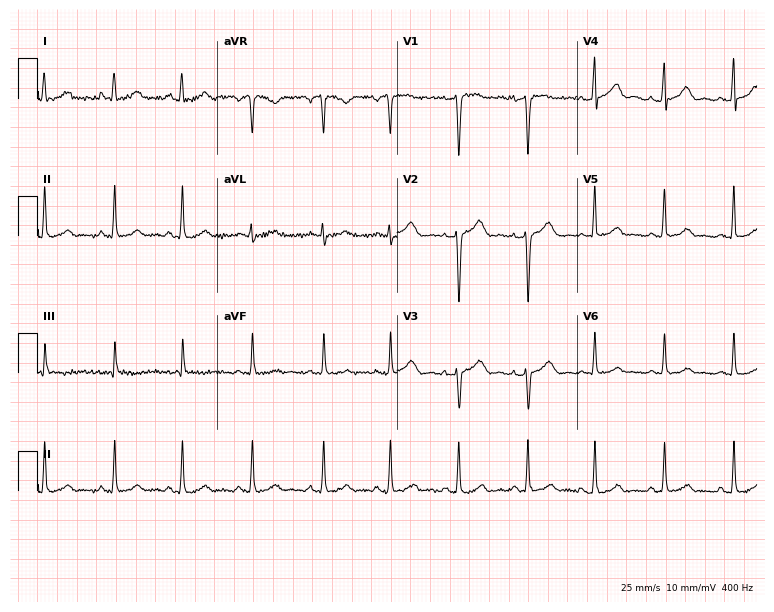
Resting 12-lead electrocardiogram (7.3-second recording at 400 Hz). Patient: a woman, 25 years old. Read as a normal ECG.